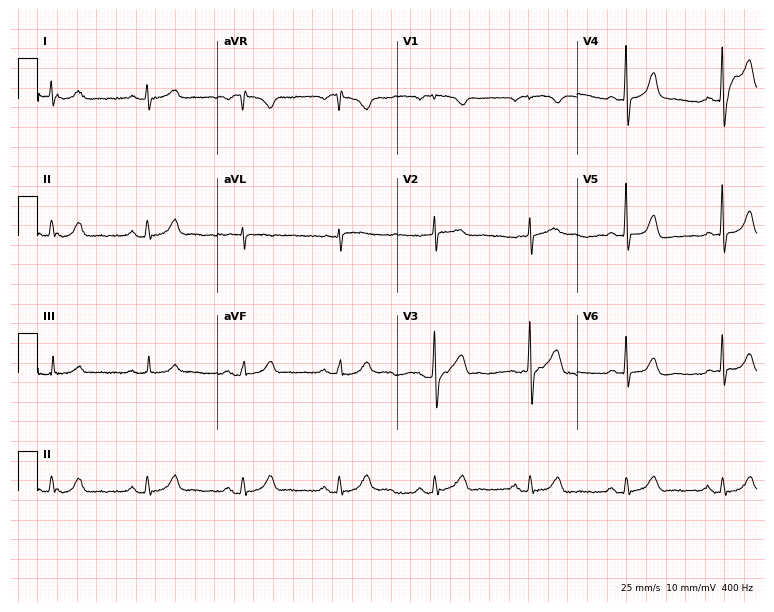
Standard 12-lead ECG recorded from a male patient, 75 years old. None of these six findings is recorded: first-degree AV block, right bundle branch block (RBBB), left bundle branch block (LBBB), sinus bradycardia, atrial fibrillation (AF), sinus tachycardia. Only these six findings were labelled.